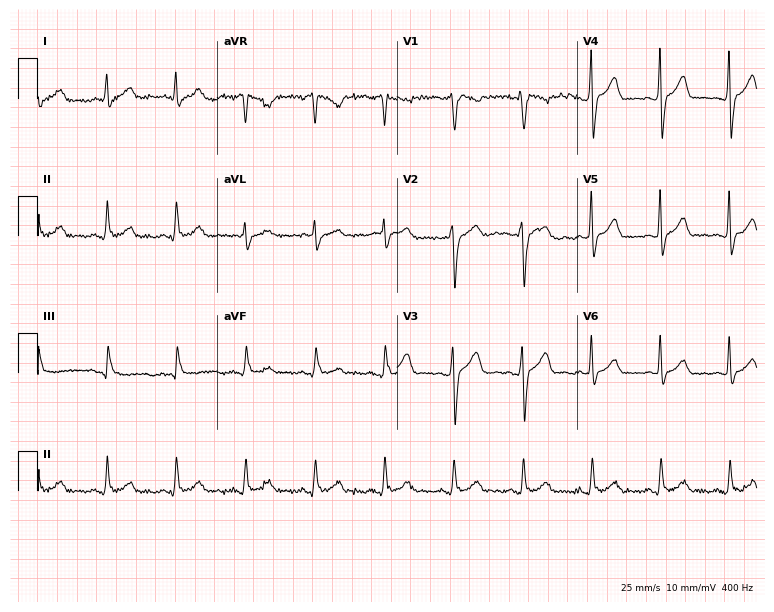
12-lead ECG (7.3-second recording at 400 Hz) from a 53-year-old male. Screened for six findings — first-degree AV block, right bundle branch block, left bundle branch block, sinus bradycardia, atrial fibrillation, sinus tachycardia — none is recorded. Other findings, if any, are not listed.